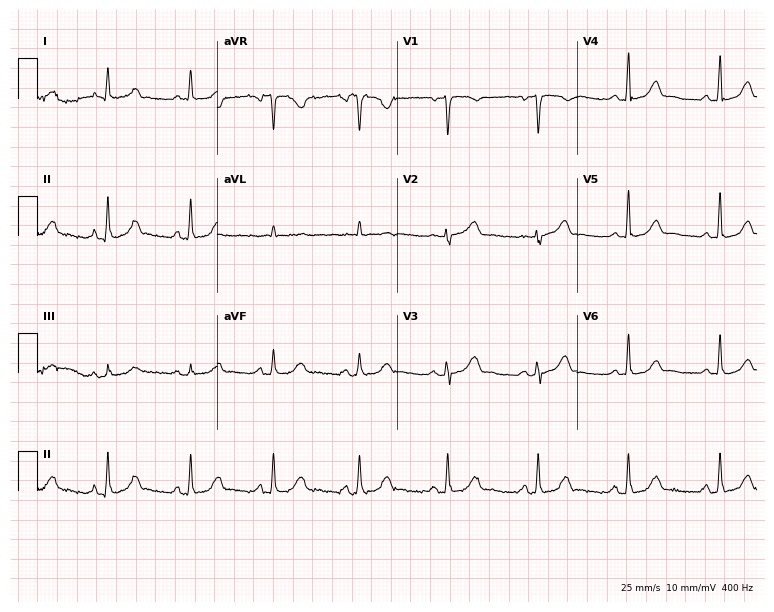
Standard 12-lead ECG recorded from a female patient, 60 years old (7.3-second recording at 400 Hz). Read as a normal ECG.